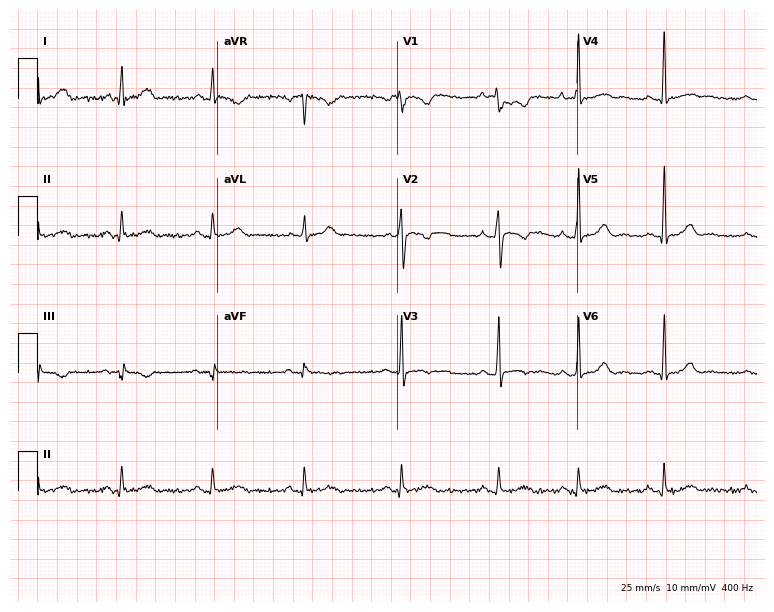
12-lead ECG (7.3-second recording at 400 Hz) from a 27-year-old female. Screened for six findings — first-degree AV block, right bundle branch block, left bundle branch block, sinus bradycardia, atrial fibrillation, sinus tachycardia — none is recorded.